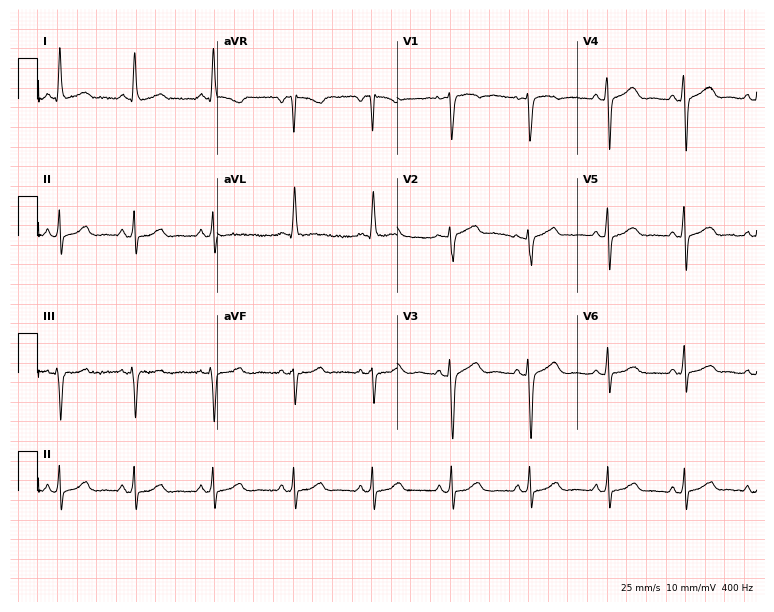
12-lead ECG from a 37-year-old woman. No first-degree AV block, right bundle branch block (RBBB), left bundle branch block (LBBB), sinus bradycardia, atrial fibrillation (AF) or sinus tachycardia recorded for this tracing. Findings outside these six are not listed.